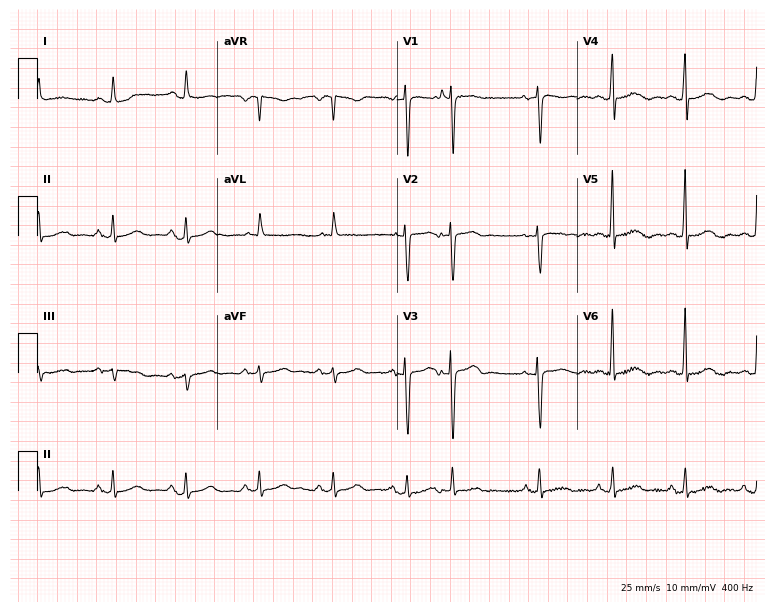
ECG (7.3-second recording at 400 Hz) — a female, 83 years old. Screened for six findings — first-degree AV block, right bundle branch block, left bundle branch block, sinus bradycardia, atrial fibrillation, sinus tachycardia — none is recorded. Other findings, if any, are not listed.